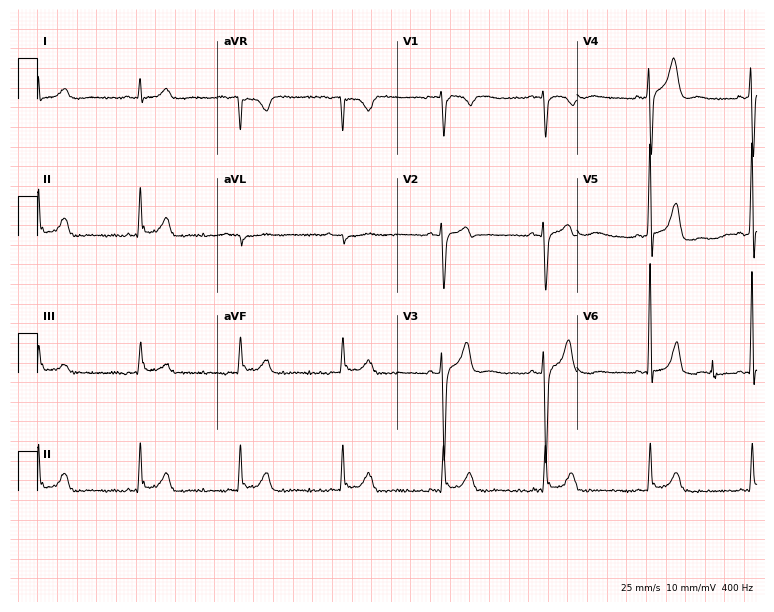
Standard 12-lead ECG recorded from a 32-year-old man (7.3-second recording at 400 Hz). Read as a normal ECG.